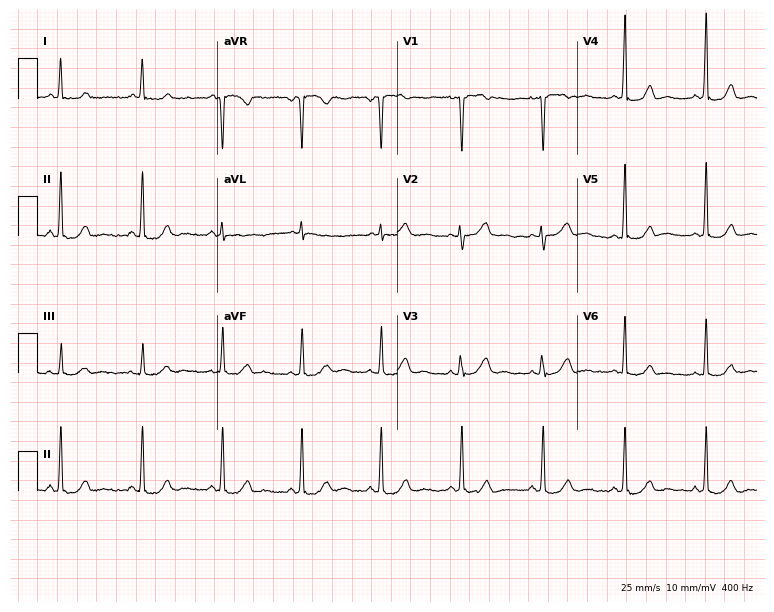
Electrocardiogram, a female, 39 years old. Overall reading on record: normal ECG.